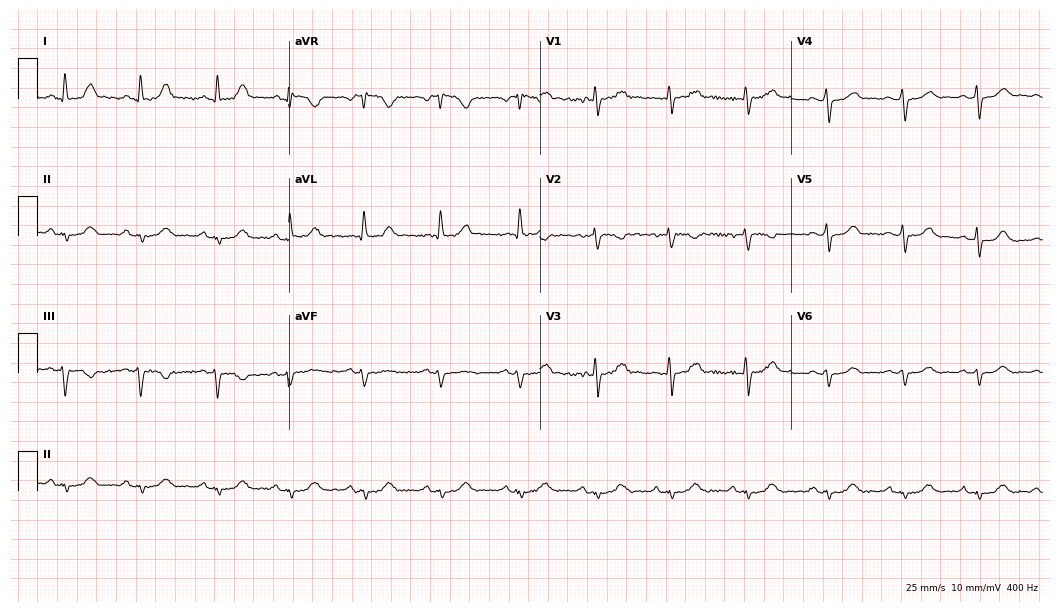
Standard 12-lead ECG recorded from a woman, 42 years old (10.2-second recording at 400 Hz). None of these six findings is recorded: first-degree AV block, right bundle branch block (RBBB), left bundle branch block (LBBB), sinus bradycardia, atrial fibrillation (AF), sinus tachycardia. Only these six findings were labelled.